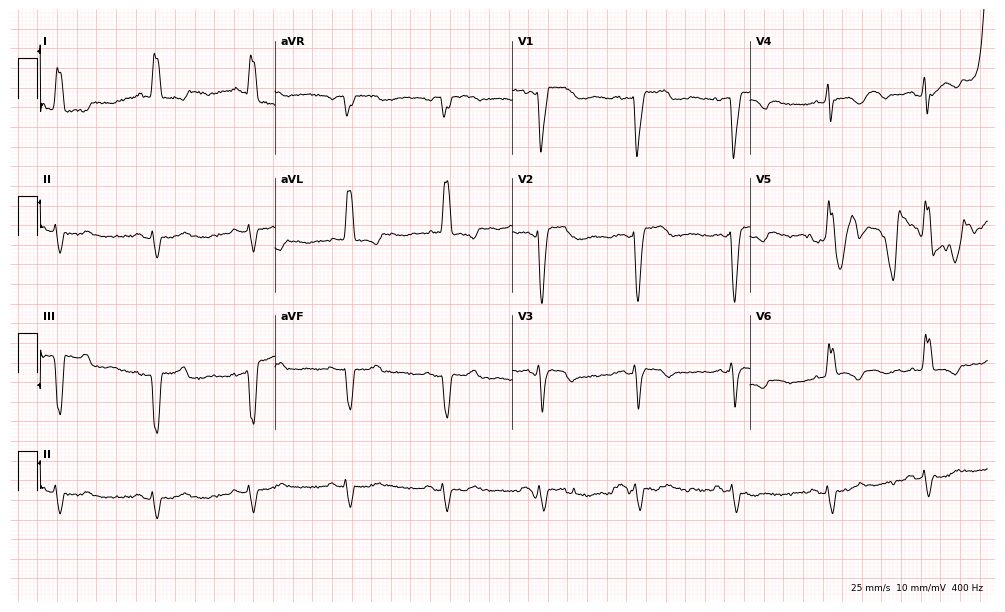
ECG — an 80-year-old female. Findings include atrial fibrillation.